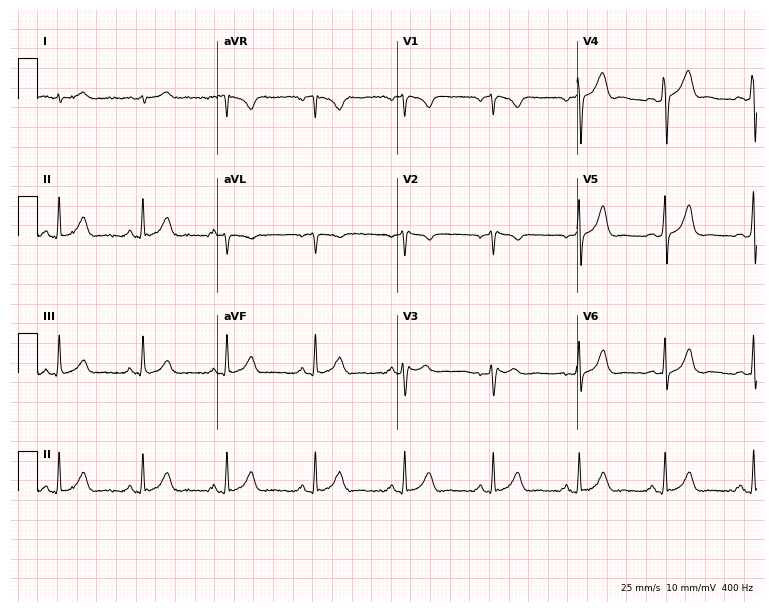
ECG (7.3-second recording at 400 Hz) — a male patient, 34 years old. Screened for six findings — first-degree AV block, right bundle branch block, left bundle branch block, sinus bradycardia, atrial fibrillation, sinus tachycardia — none is recorded.